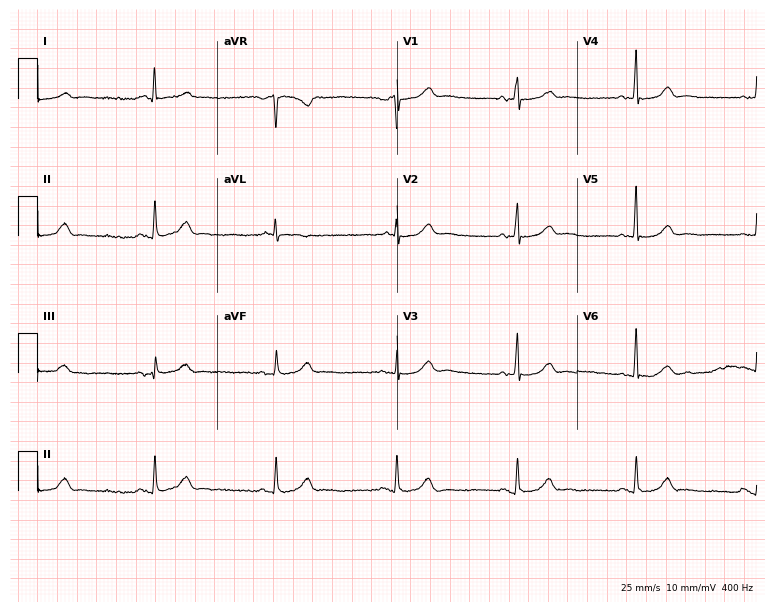
ECG (7.3-second recording at 400 Hz) — a female, 63 years old. Screened for six findings — first-degree AV block, right bundle branch block (RBBB), left bundle branch block (LBBB), sinus bradycardia, atrial fibrillation (AF), sinus tachycardia — none is recorded.